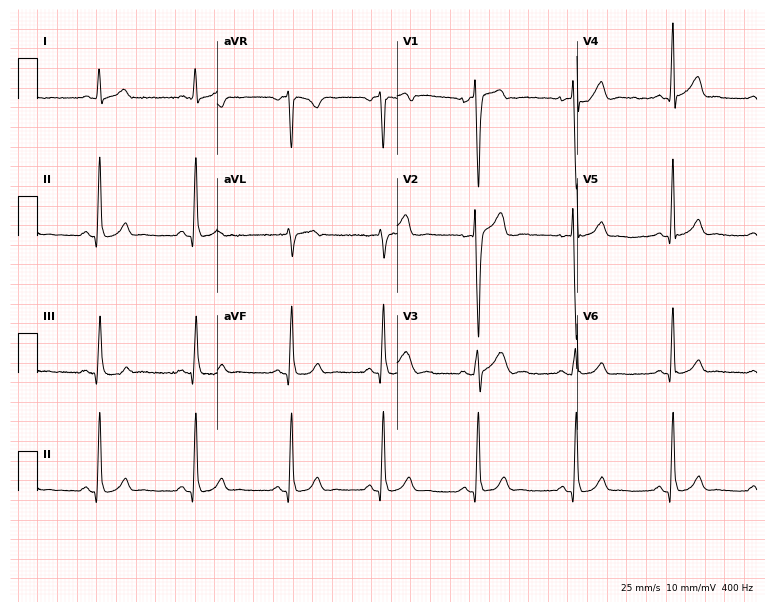
Electrocardiogram (7.3-second recording at 400 Hz), a male, 27 years old. Overall reading on record: normal ECG.